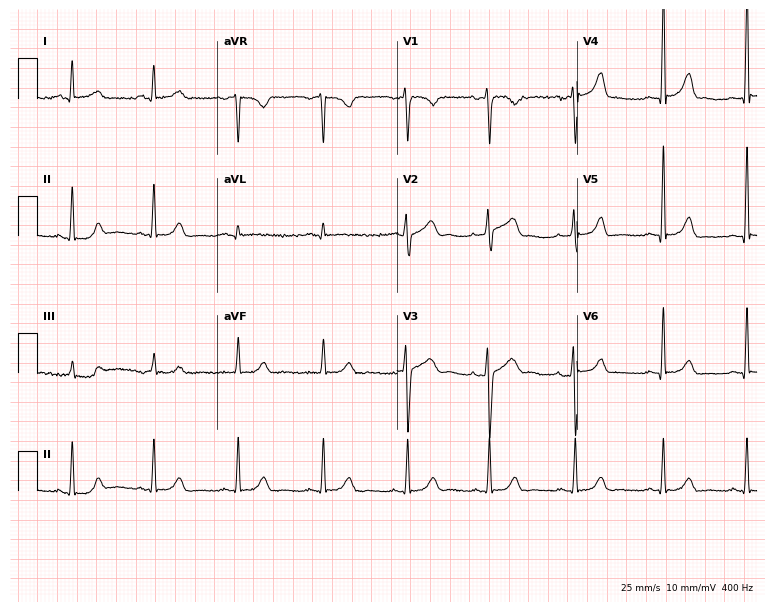
12-lead ECG from a female, 45 years old. Recorded interpretation: within normal limits.